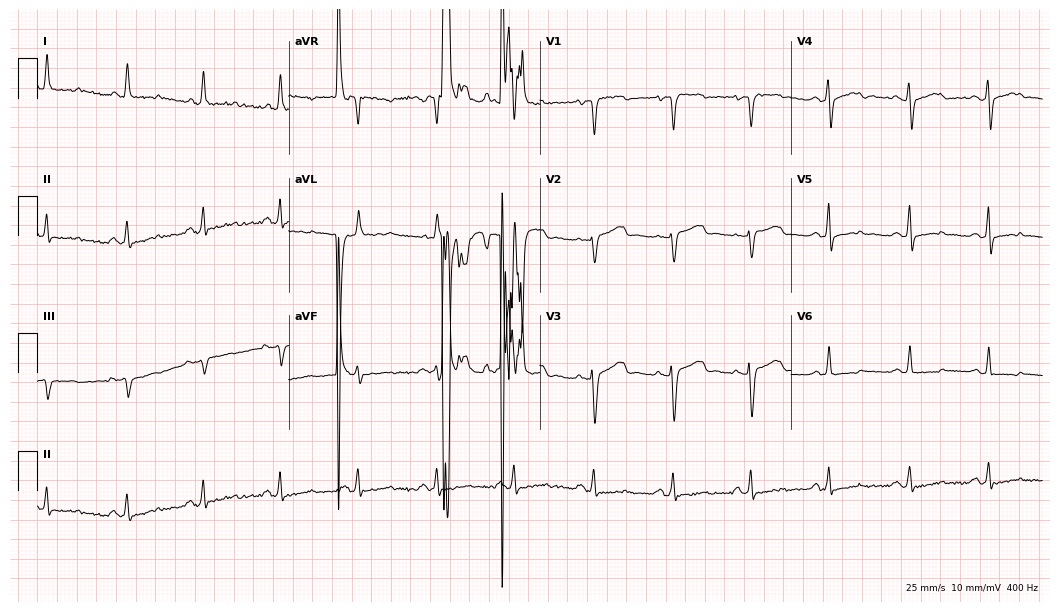
Resting 12-lead electrocardiogram (10.2-second recording at 400 Hz). Patient: a 56-year-old woman. None of these six findings is recorded: first-degree AV block, right bundle branch block, left bundle branch block, sinus bradycardia, atrial fibrillation, sinus tachycardia.